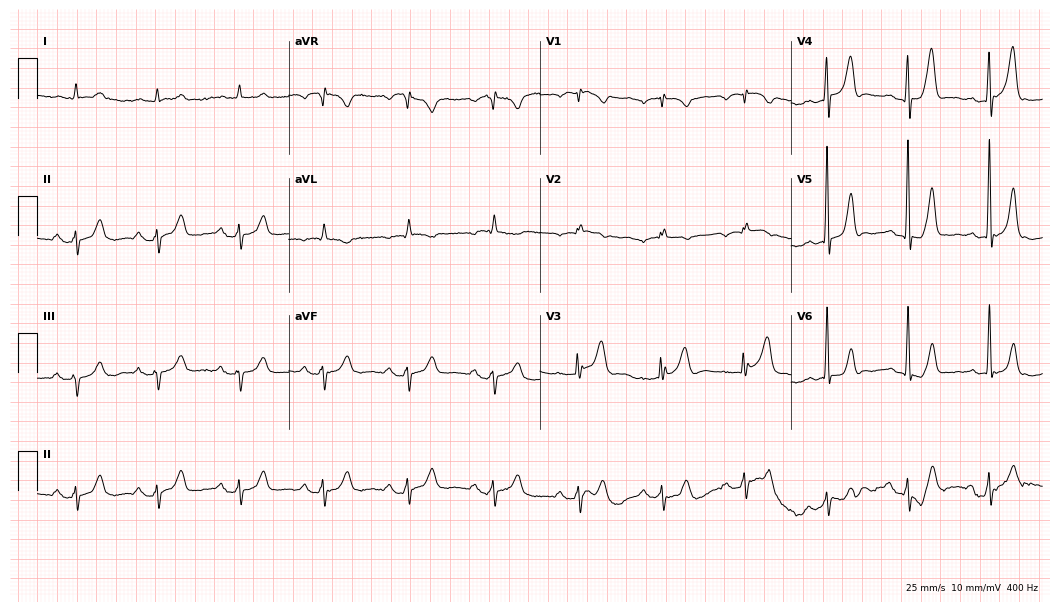
12-lead ECG from a male, 78 years old (10.2-second recording at 400 Hz). No first-degree AV block, right bundle branch block (RBBB), left bundle branch block (LBBB), sinus bradycardia, atrial fibrillation (AF) or sinus tachycardia recorded for this tracing.